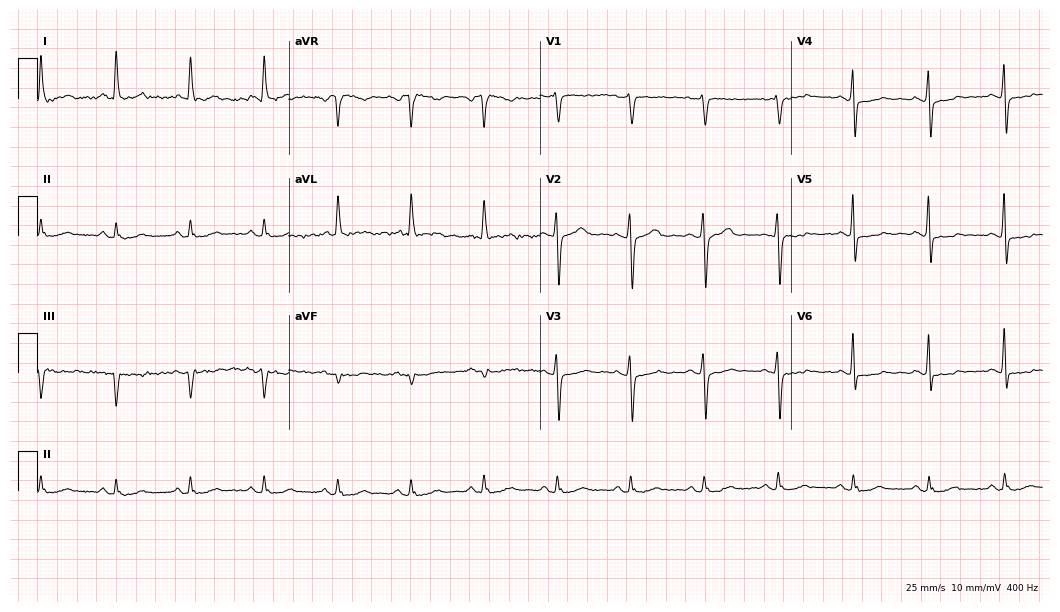
Electrocardiogram (10.2-second recording at 400 Hz), a 64-year-old female patient. Of the six screened findings (first-degree AV block, right bundle branch block (RBBB), left bundle branch block (LBBB), sinus bradycardia, atrial fibrillation (AF), sinus tachycardia), none is recorded.